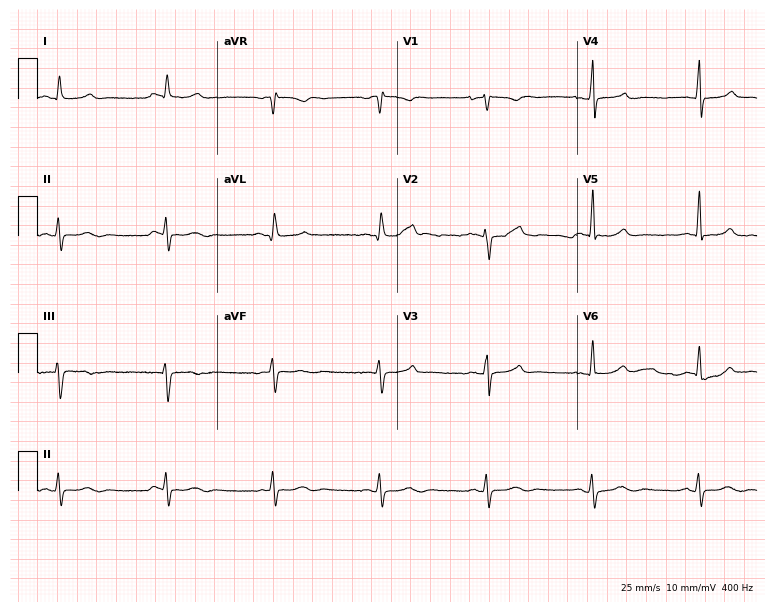
12-lead ECG from a 54-year-old man (7.3-second recording at 400 Hz). Recorded interpretation: within normal limits.